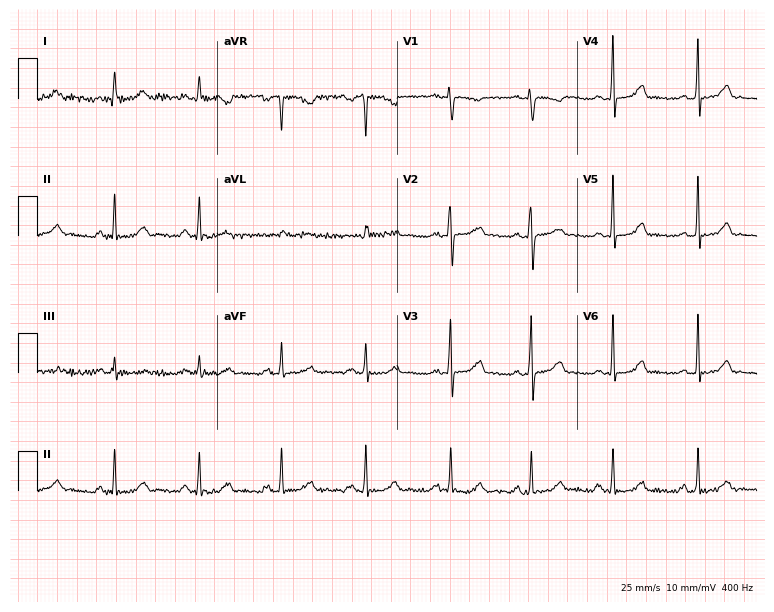
Standard 12-lead ECG recorded from a woman, 35 years old (7.3-second recording at 400 Hz). Read as a normal ECG.